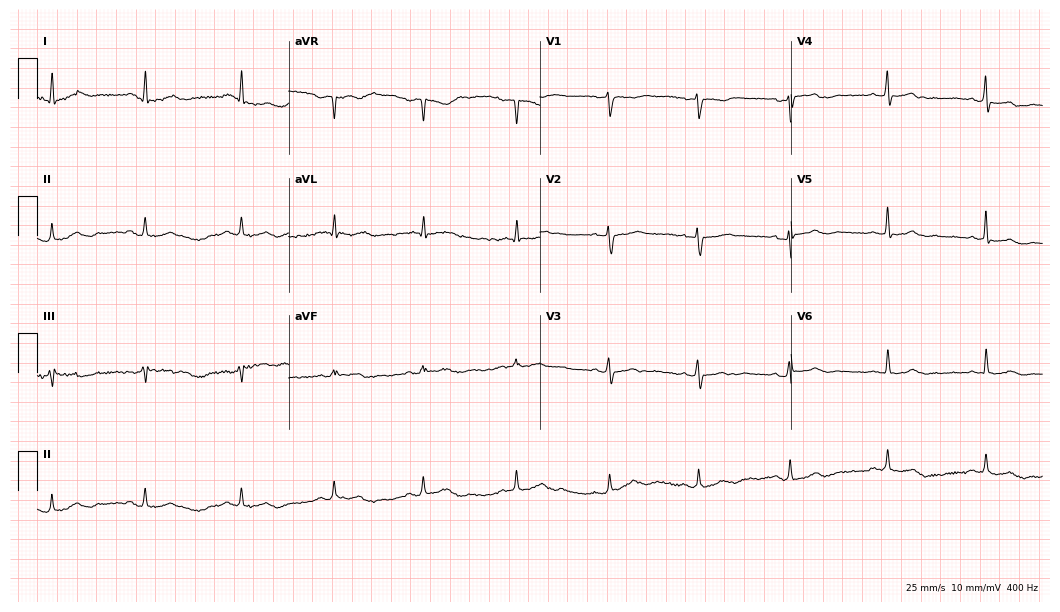
Standard 12-lead ECG recorded from a female, 38 years old (10.2-second recording at 400 Hz). Read as a normal ECG.